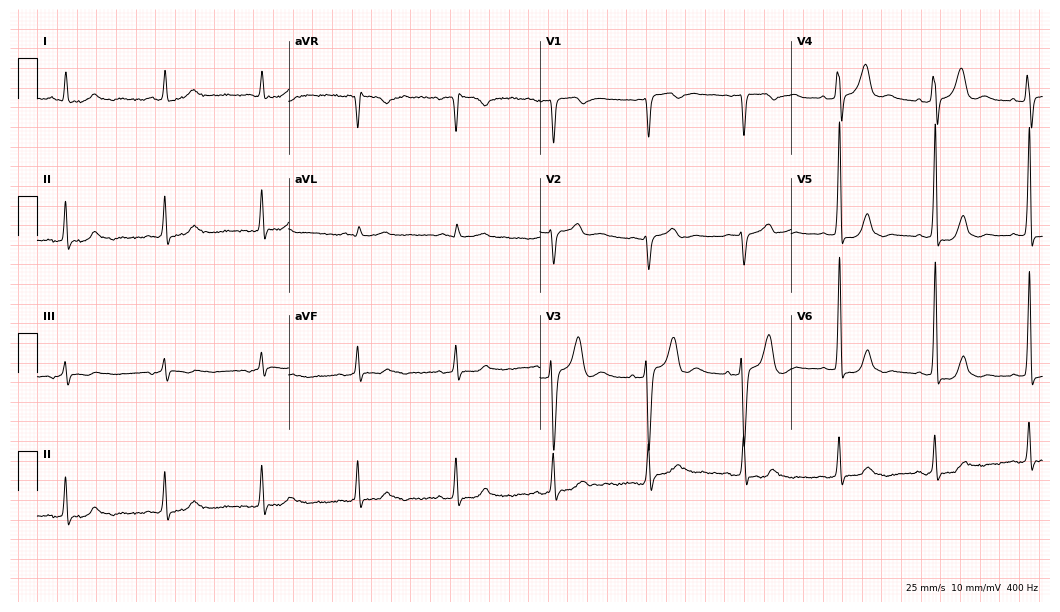
12-lead ECG from a 67-year-old male. No first-degree AV block, right bundle branch block, left bundle branch block, sinus bradycardia, atrial fibrillation or sinus tachycardia recorded for this tracing.